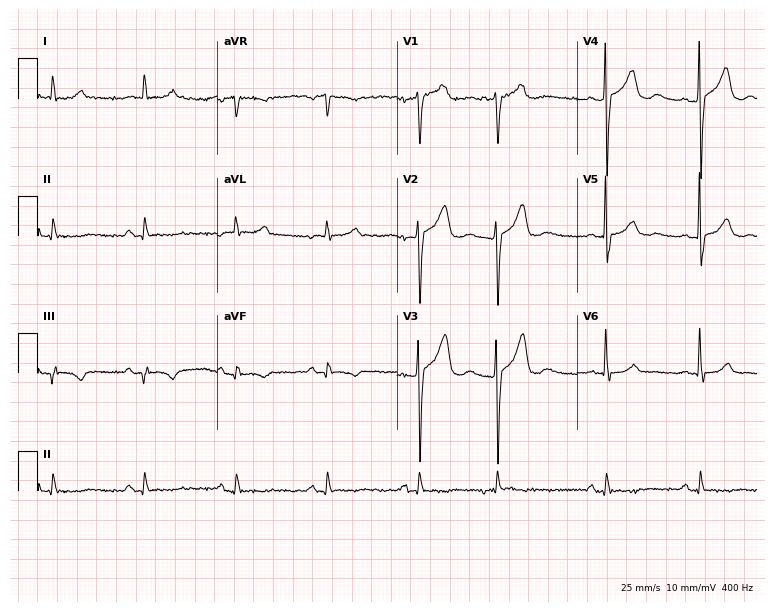
Electrocardiogram (7.3-second recording at 400 Hz), a 65-year-old woman. Of the six screened findings (first-degree AV block, right bundle branch block (RBBB), left bundle branch block (LBBB), sinus bradycardia, atrial fibrillation (AF), sinus tachycardia), none is recorded.